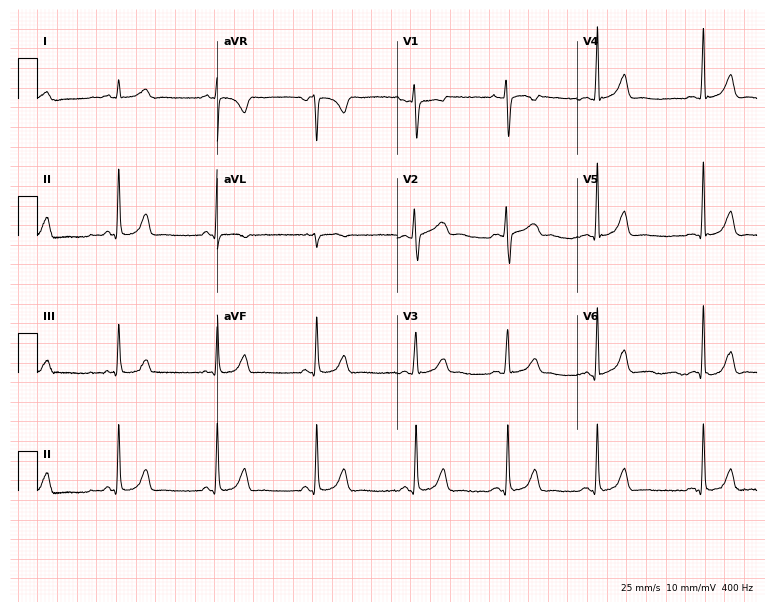
Electrocardiogram (7.3-second recording at 400 Hz), a female, 27 years old. Overall reading on record: normal ECG.